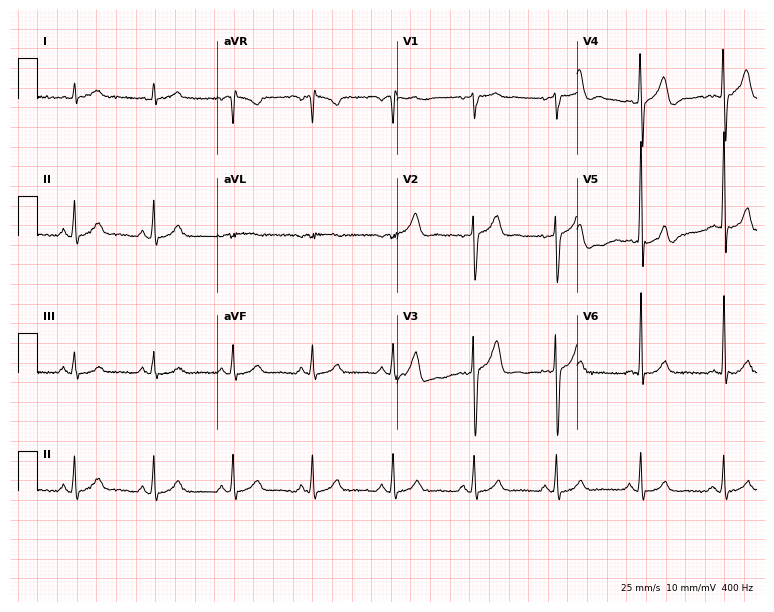
12-lead ECG from a 51-year-old man. Screened for six findings — first-degree AV block, right bundle branch block, left bundle branch block, sinus bradycardia, atrial fibrillation, sinus tachycardia — none is recorded. Other findings, if any, are not listed.